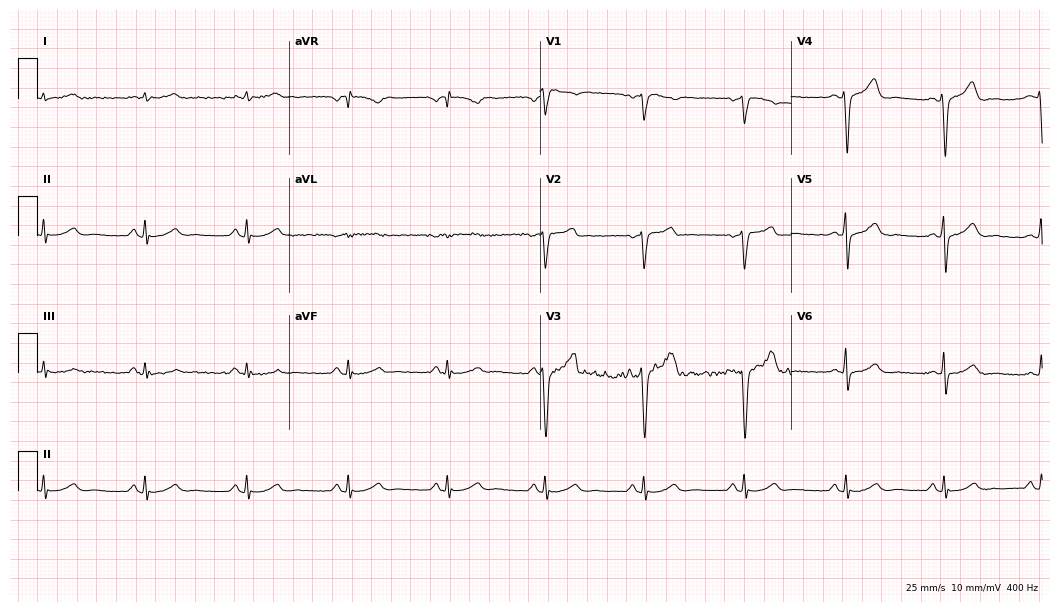
12-lead ECG (10.2-second recording at 400 Hz) from a 45-year-old male patient. Screened for six findings — first-degree AV block, right bundle branch block, left bundle branch block, sinus bradycardia, atrial fibrillation, sinus tachycardia — none is recorded.